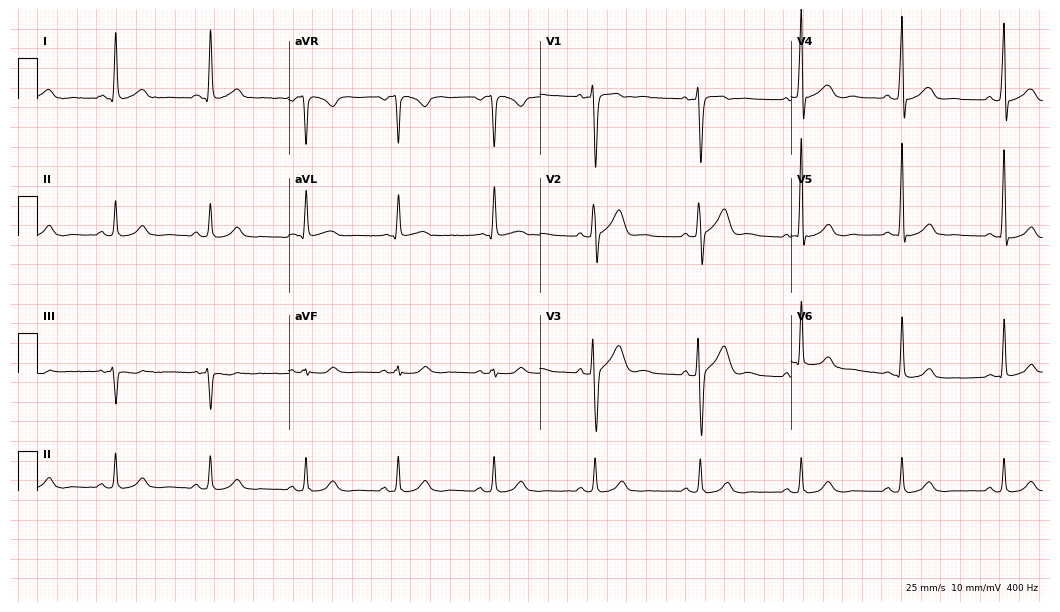
ECG — a male, 40 years old. Screened for six findings — first-degree AV block, right bundle branch block, left bundle branch block, sinus bradycardia, atrial fibrillation, sinus tachycardia — none is recorded. Other findings, if any, are not listed.